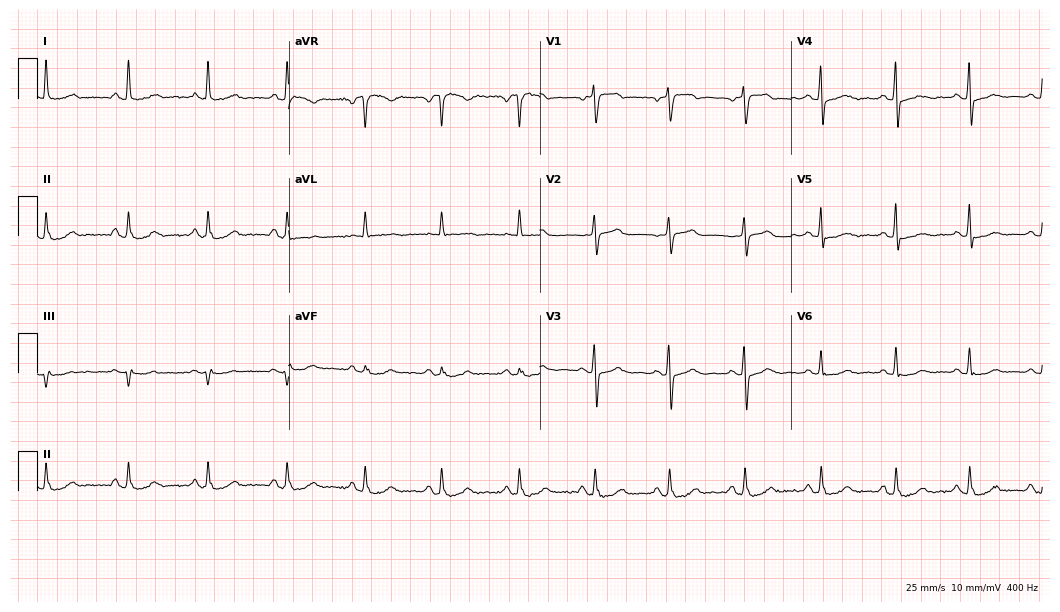
Standard 12-lead ECG recorded from a woman, 55 years old (10.2-second recording at 400 Hz). Read as a normal ECG.